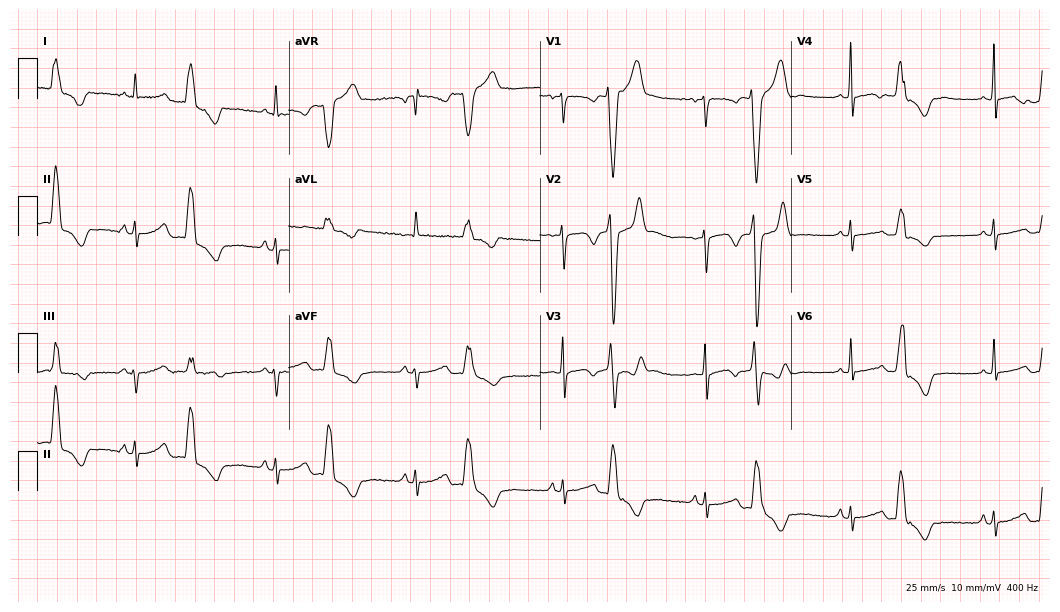
ECG (10.2-second recording at 400 Hz) — a woman, 29 years old. Screened for six findings — first-degree AV block, right bundle branch block, left bundle branch block, sinus bradycardia, atrial fibrillation, sinus tachycardia — none is recorded.